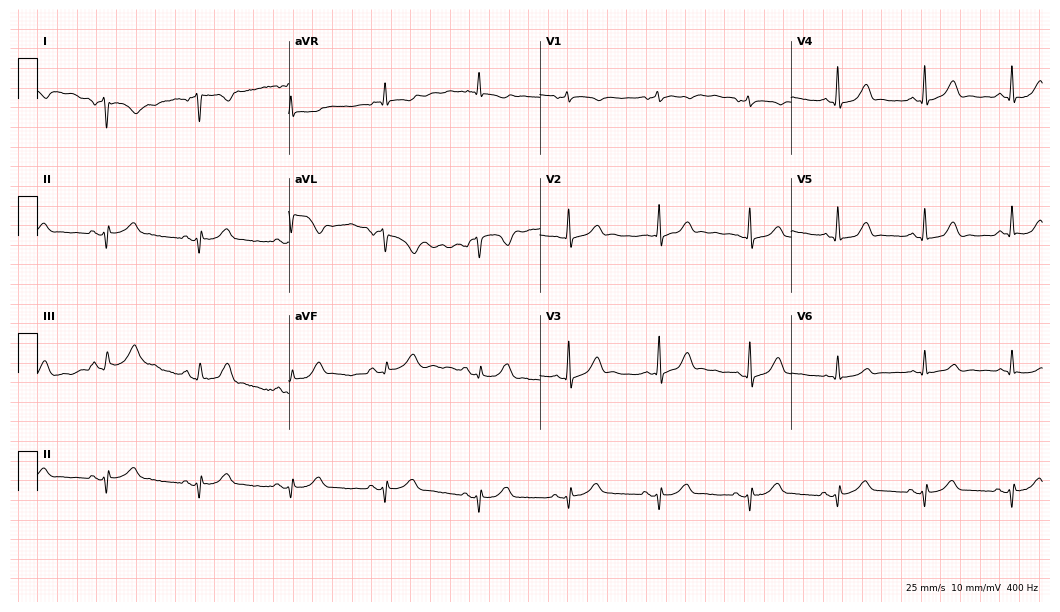
Electrocardiogram, a female patient, 84 years old. Of the six screened findings (first-degree AV block, right bundle branch block, left bundle branch block, sinus bradycardia, atrial fibrillation, sinus tachycardia), none is recorded. Only these six findings were labelled.